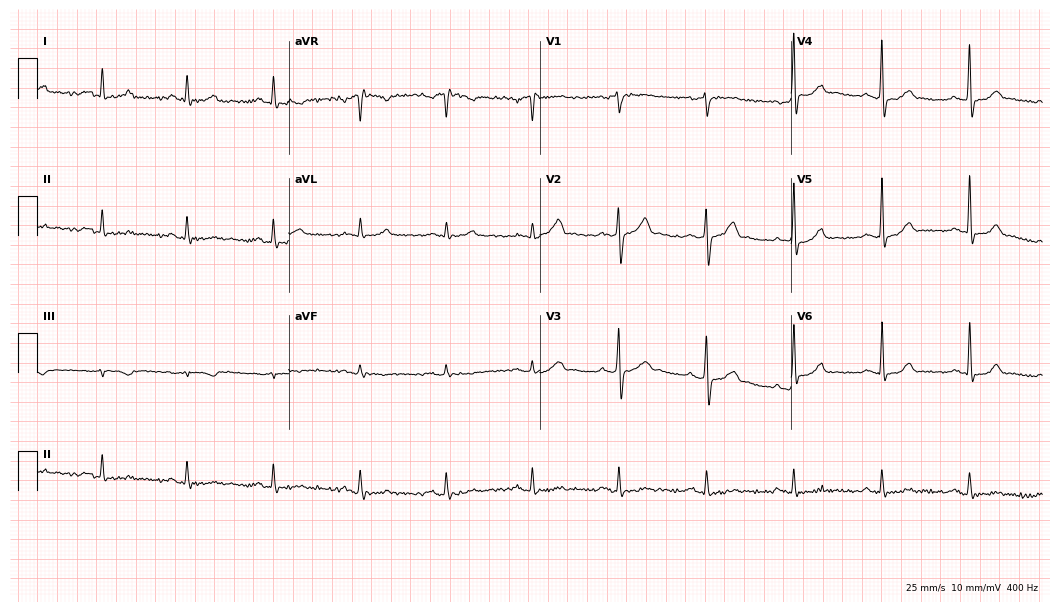
Resting 12-lead electrocardiogram (10.2-second recording at 400 Hz). Patient: a 54-year-old male. Read as a normal ECG.